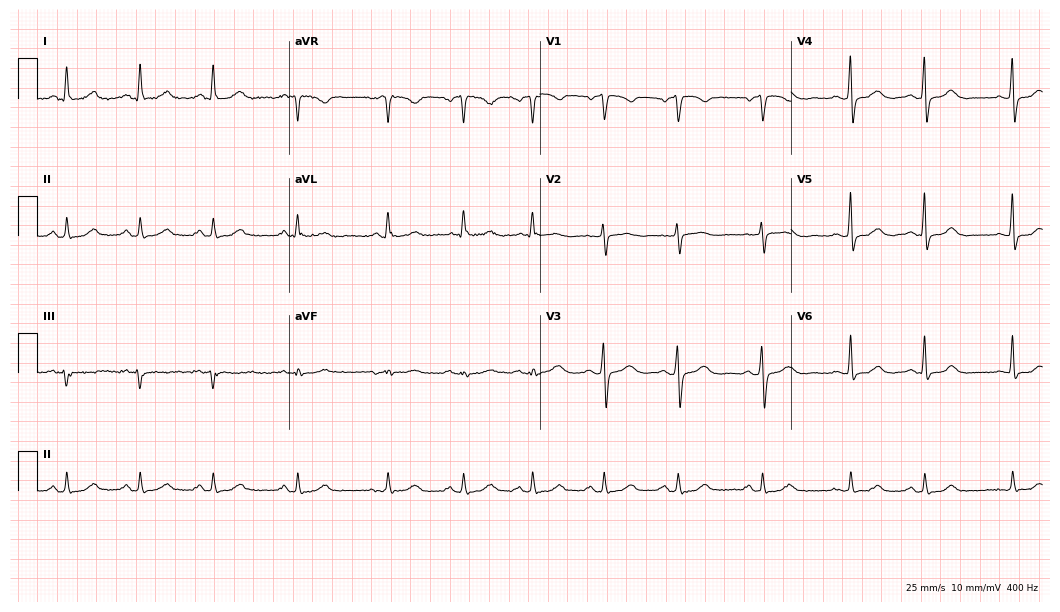
12-lead ECG from a 73-year-old female. Recorded interpretation: within normal limits.